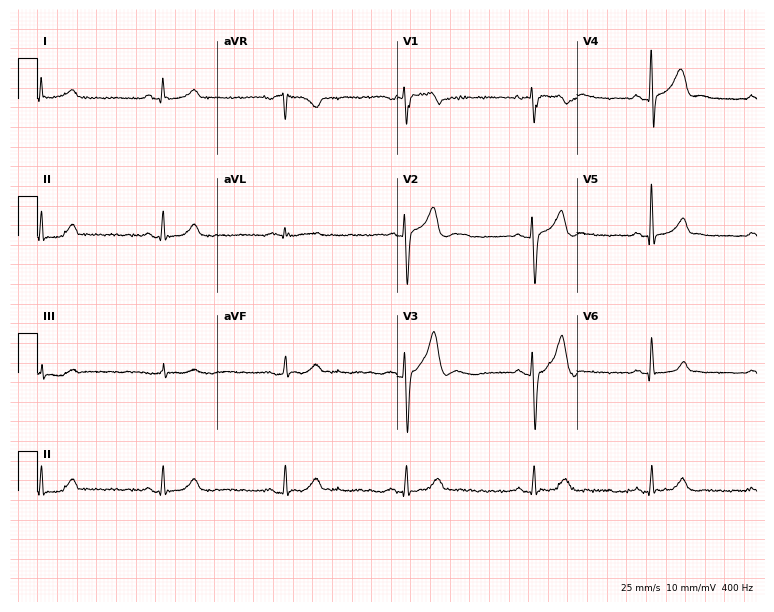
12-lead ECG from a 43-year-old man. Findings include sinus bradycardia (a sinus rate of 50 beats per minute or less).